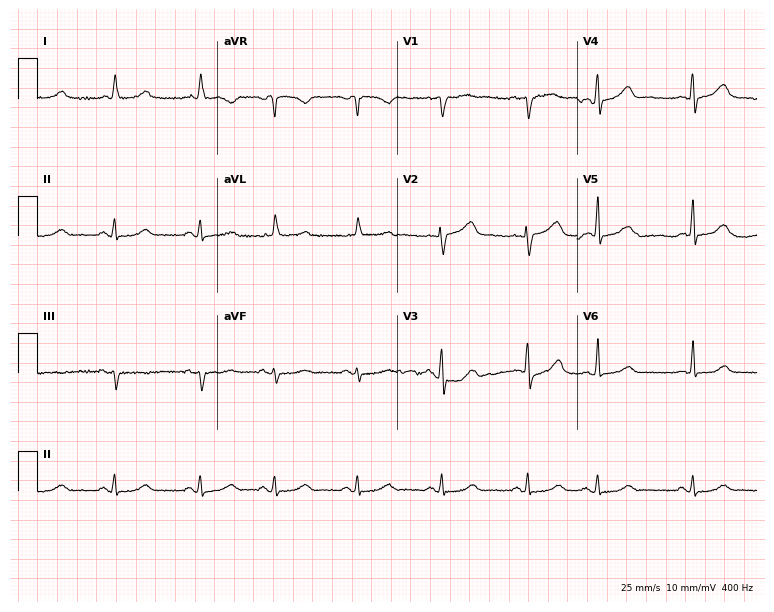
12-lead ECG from a female patient, 74 years old. Recorded interpretation: within normal limits.